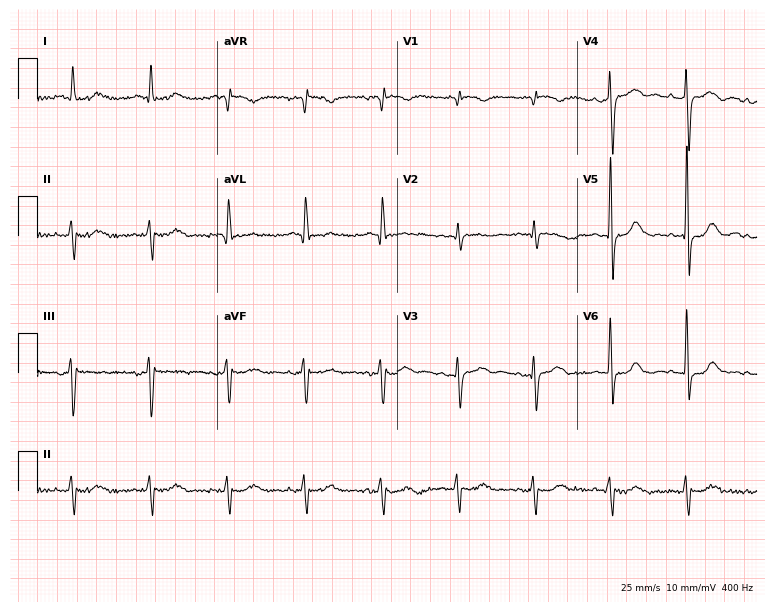
Standard 12-lead ECG recorded from a man, 71 years old. None of these six findings is recorded: first-degree AV block, right bundle branch block, left bundle branch block, sinus bradycardia, atrial fibrillation, sinus tachycardia. Only these six findings were labelled.